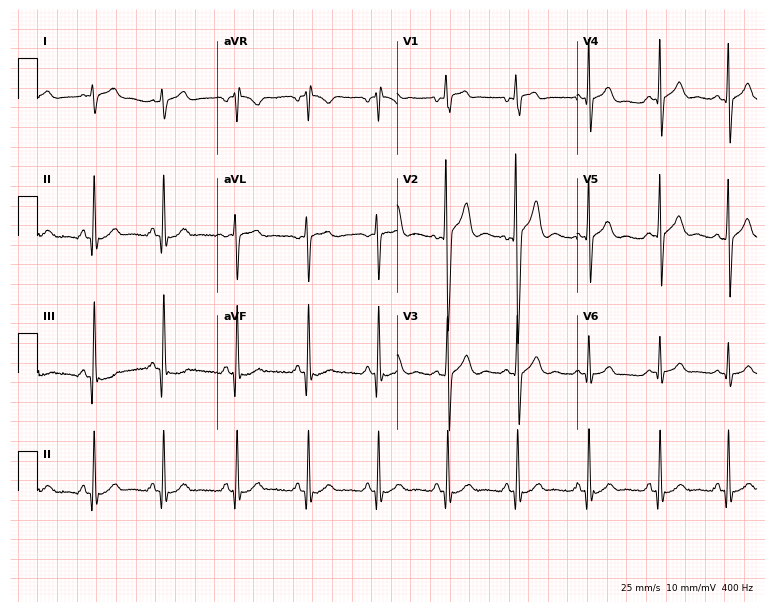
12-lead ECG from a male patient, 23 years old. Screened for six findings — first-degree AV block, right bundle branch block, left bundle branch block, sinus bradycardia, atrial fibrillation, sinus tachycardia — none is recorded.